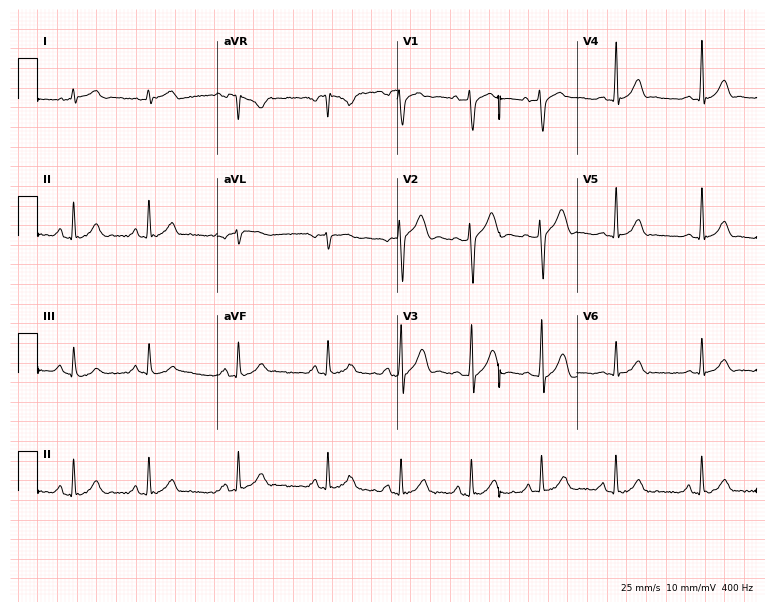
ECG — a 27-year-old man. Screened for six findings — first-degree AV block, right bundle branch block, left bundle branch block, sinus bradycardia, atrial fibrillation, sinus tachycardia — none is recorded.